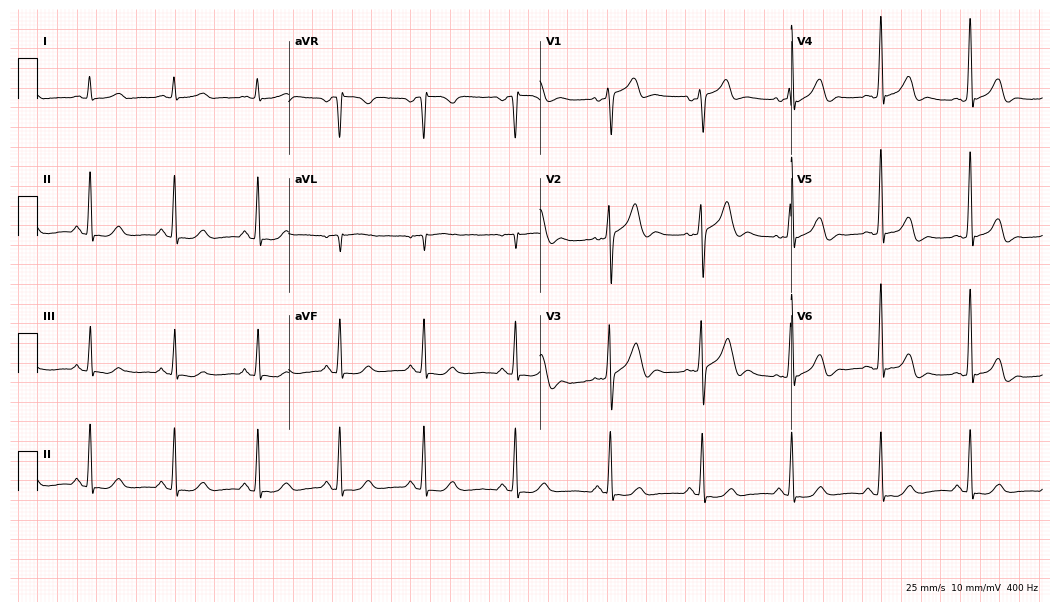
ECG (10.2-second recording at 400 Hz) — a 31-year-old male patient. Screened for six findings — first-degree AV block, right bundle branch block (RBBB), left bundle branch block (LBBB), sinus bradycardia, atrial fibrillation (AF), sinus tachycardia — none is recorded.